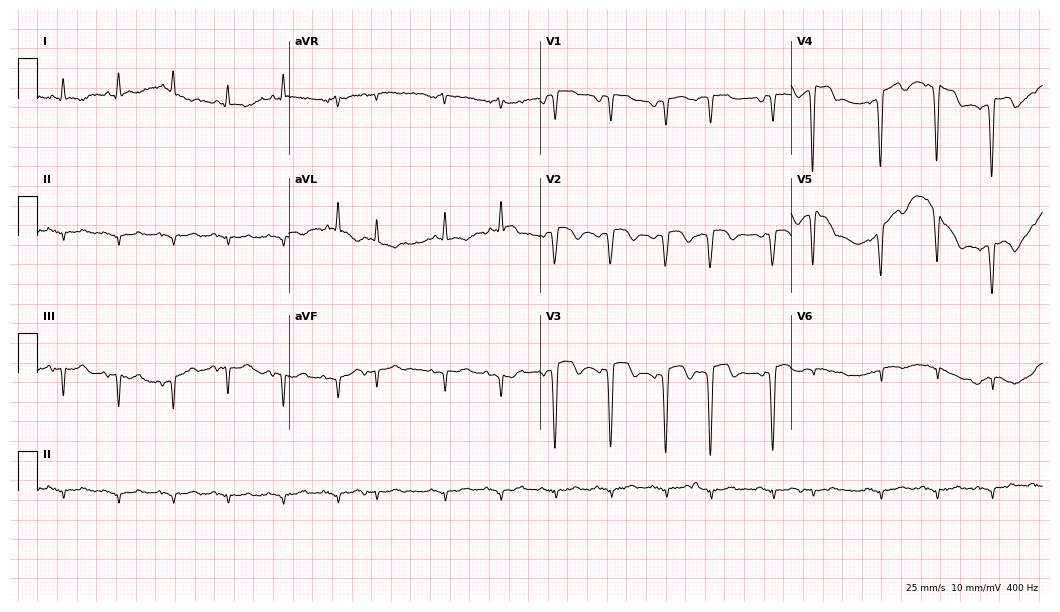
Resting 12-lead electrocardiogram (10.2-second recording at 400 Hz). Patient: a female, 82 years old. None of these six findings is recorded: first-degree AV block, right bundle branch block, left bundle branch block, sinus bradycardia, atrial fibrillation, sinus tachycardia. Other findings, if any, are not listed.